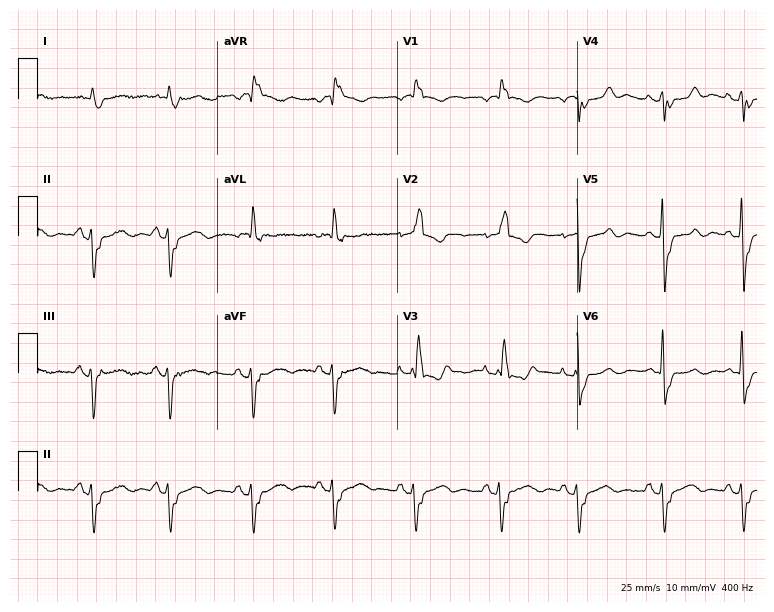
ECG (7.3-second recording at 400 Hz) — a 77-year-old male patient. Findings include right bundle branch block.